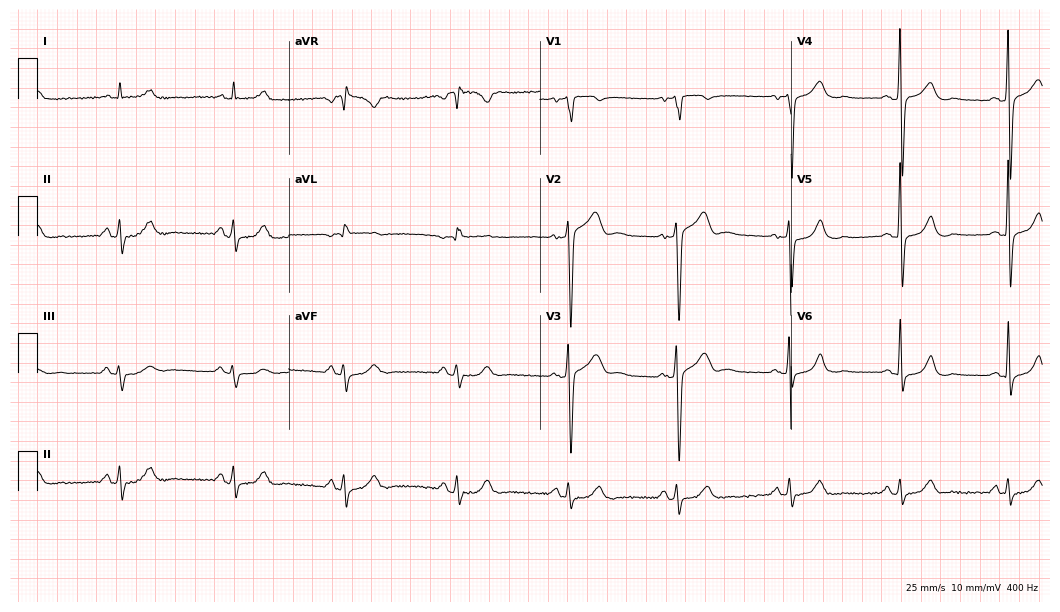
ECG — a man, 51 years old. Labelled as a normal ECG.